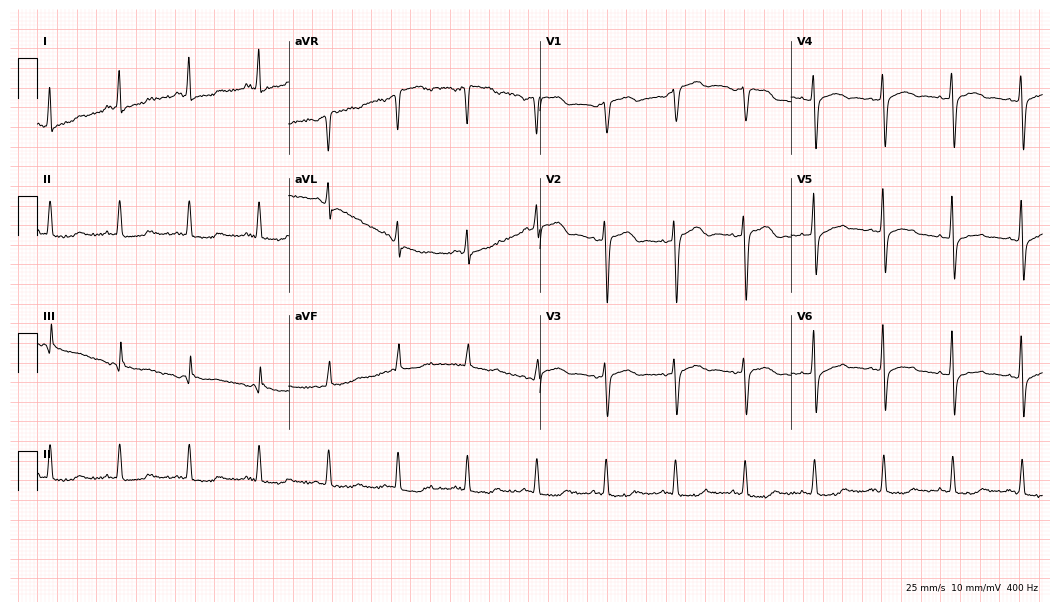
Standard 12-lead ECG recorded from an 82-year-old female (10.2-second recording at 400 Hz). None of these six findings is recorded: first-degree AV block, right bundle branch block, left bundle branch block, sinus bradycardia, atrial fibrillation, sinus tachycardia.